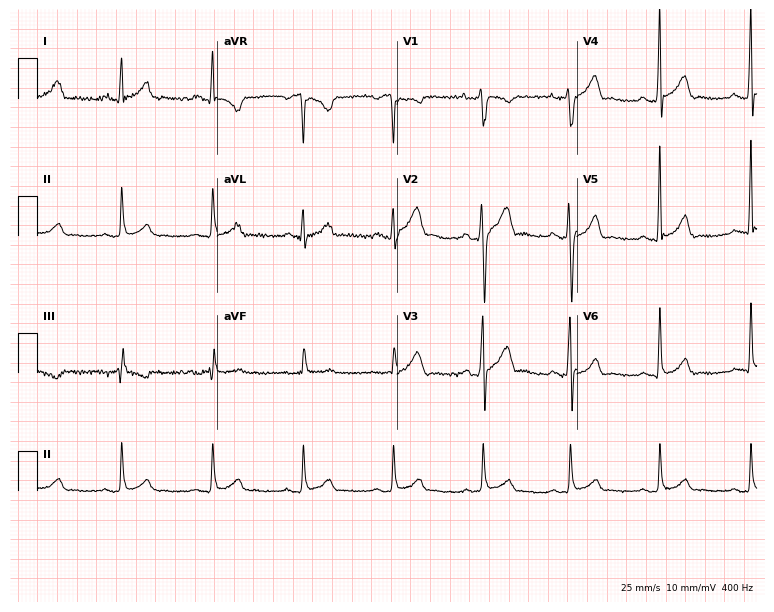
12-lead ECG from a 32-year-old male (7.3-second recording at 400 Hz). No first-degree AV block, right bundle branch block (RBBB), left bundle branch block (LBBB), sinus bradycardia, atrial fibrillation (AF) or sinus tachycardia recorded for this tracing. Only these six findings were labelled.